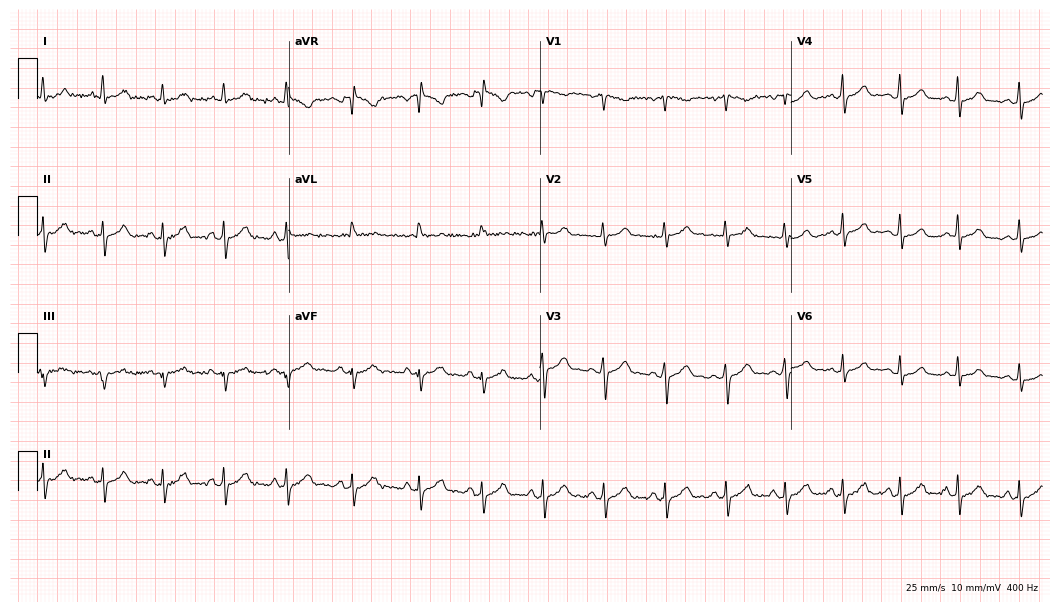
ECG (10.2-second recording at 400 Hz) — a 29-year-old female patient. Screened for six findings — first-degree AV block, right bundle branch block, left bundle branch block, sinus bradycardia, atrial fibrillation, sinus tachycardia — none is recorded. Findings outside these six are not listed.